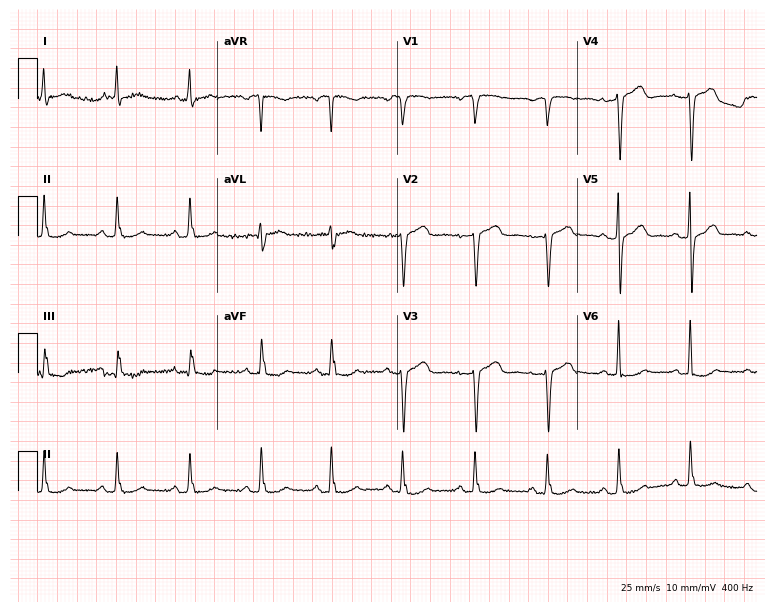
ECG (7.3-second recording at 400 Hz) — a female, 65 years old. Labelled as a normal ECG.